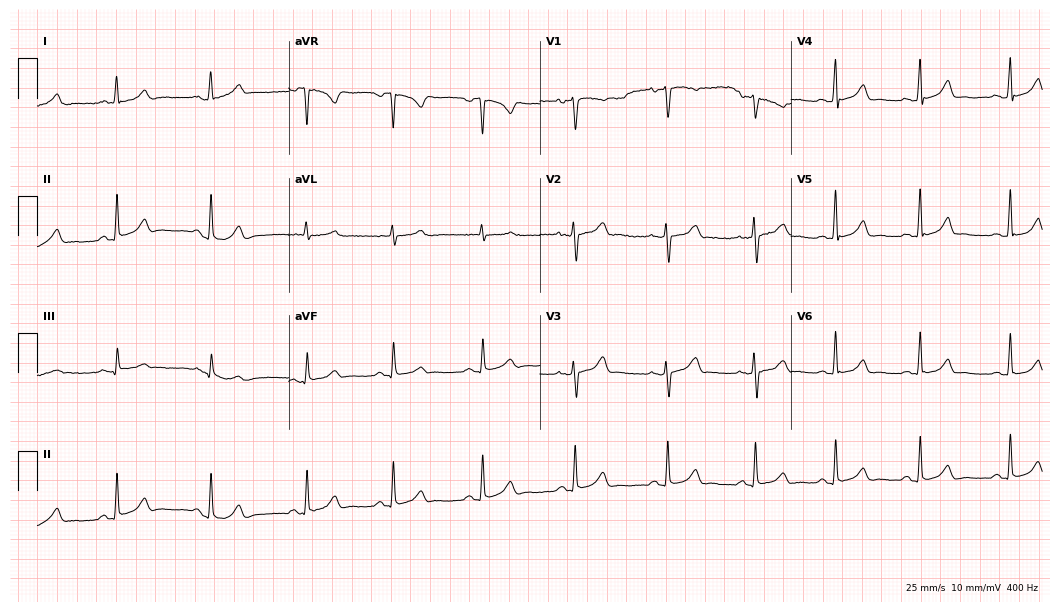
ECG (10.2-second recording at 400 Hz) — a female, 39 years old. Labelled as a normal ECG.